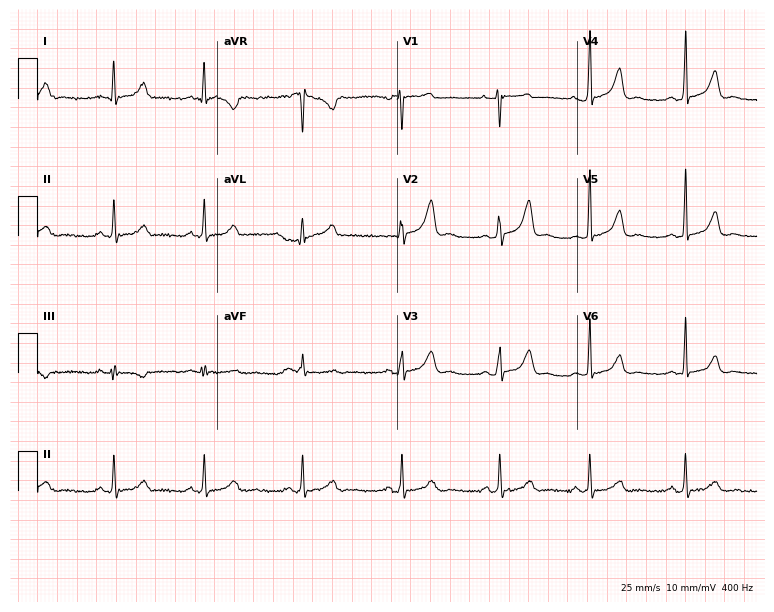
Resting 12-lead electrocardiogram (7.3-second recording at 400 Hz). Patient: a 28-year-old woman. Read as a normal ECG.